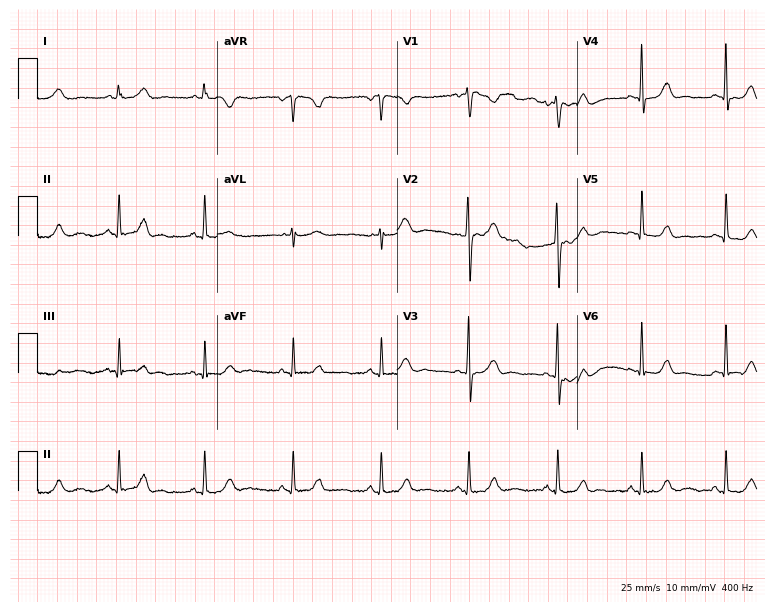
12-lead ECG from a 45-year-old woman. No first-degree AV block, right bundle branch block, left bundle branch block, sinus bradycardia, atrial fibrillation or sinus tachycardia recorded for this tracing.